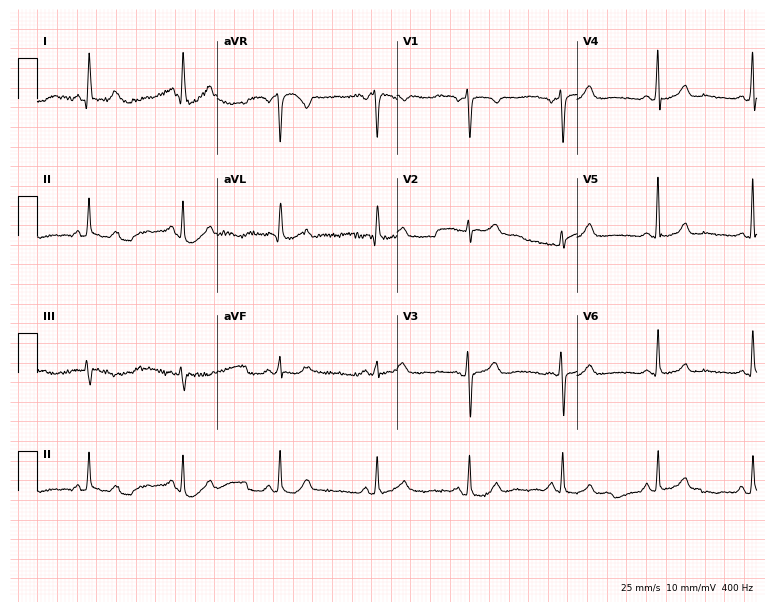
12-lead ECG from a 68-year-old female patient (7.3-second recording at 400 Hz). Recorded interpretation: within normal limits.